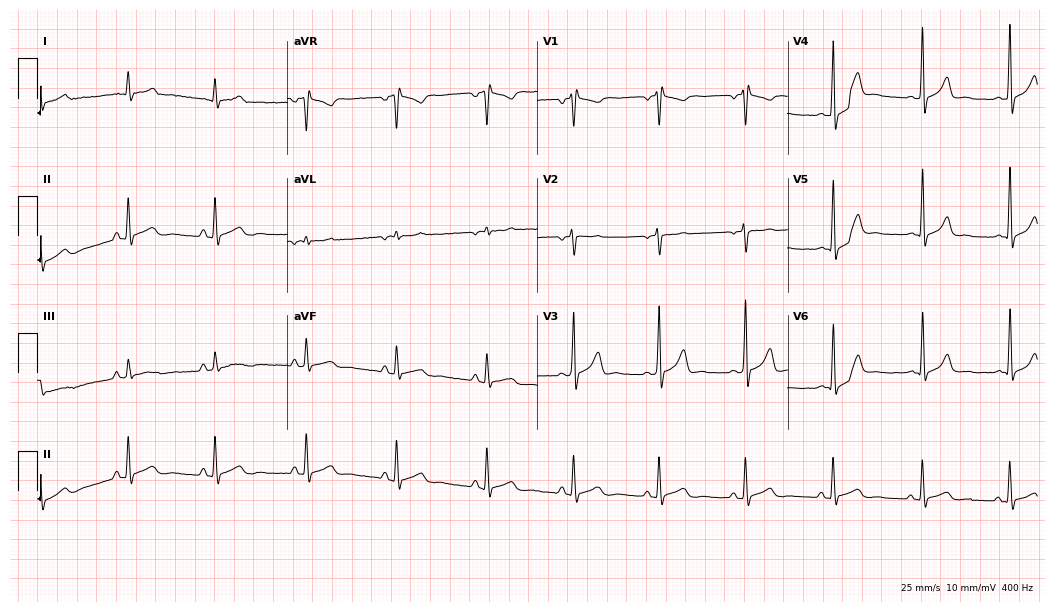
ECG — a male, 17 years old. Screened for six findings — first-degree AV block, right bundle branch block, left bundle branch block, sinus bradycardia, atrial fibrillation, sinus tachycardia — none is recorded. Other findings, if any, are not listed.